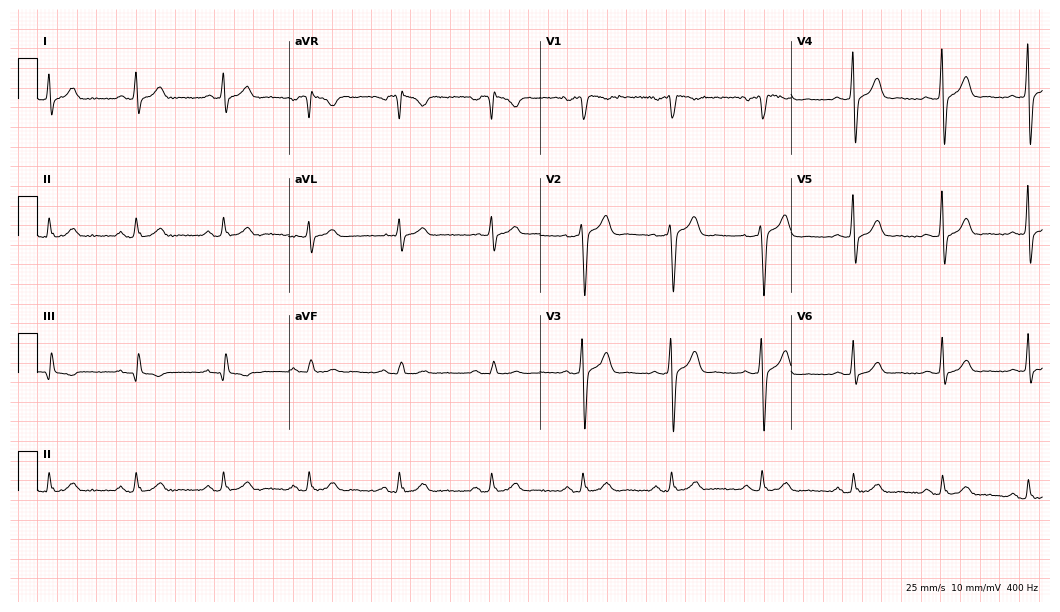
Electrocardiogram (10.2-second recording at 400 Hz), a 52-year-old male. Overall reading on record: normal ECG.